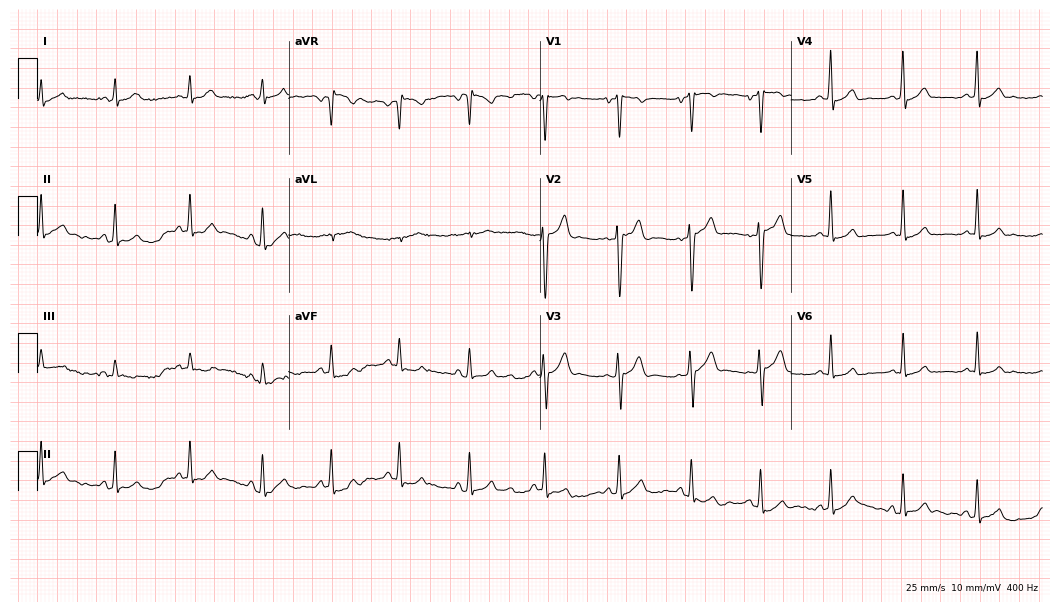
Standard 12-lead ECG recorded from a male patient, 27 years old (10.2-second recording at 400 Hz). Read as a normal ECG.